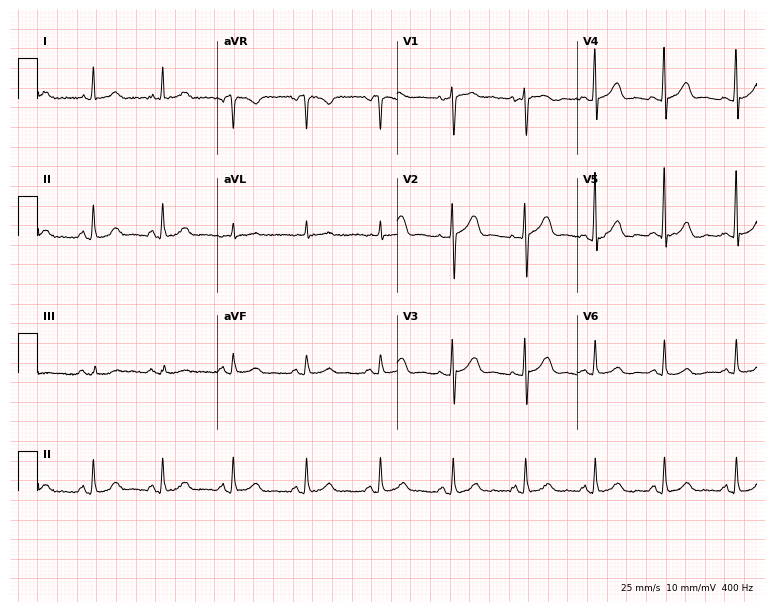
12-lead ECG from a 51-year-old female patient (7.3-second recording at 400 Hz). Recorded interpretation: within normal limits.